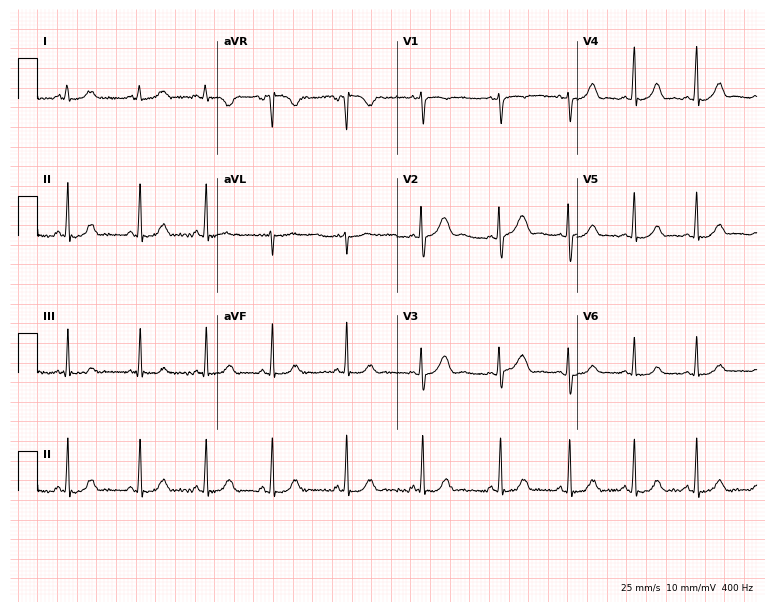
12-lead ECG from a 20-year-old female. Labelled as a normal ECG.